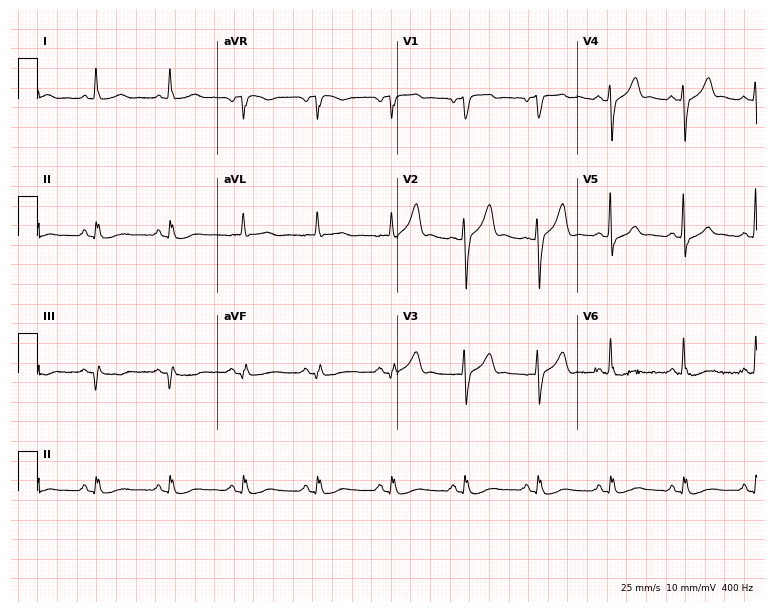
Electrocardiogram, a male, 72 years old. Overall reading on record: normal ECG.